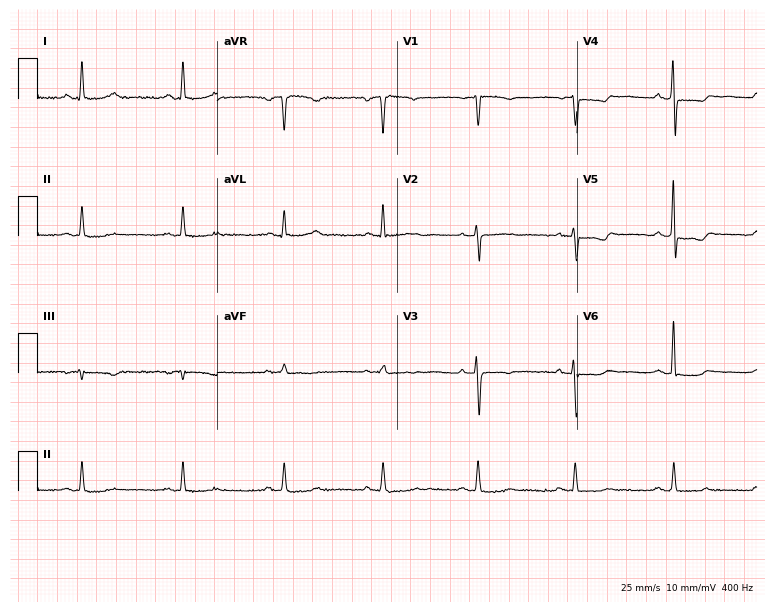
12-lead ECG from a 57-year-old female. No first-degree AV block, right bundle branch block, left bundle branch block, sinus bradycardia, atrial fibrillation or sinus tachycardia recorded for this tracing. Other findings, if any, are not listed.